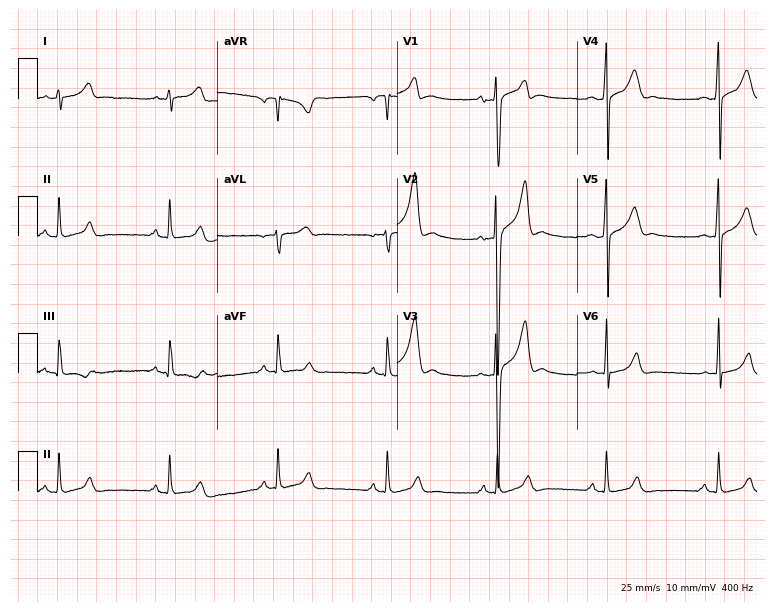
Electrocardiogram, a 22-year-old man. Overall reading on record: normal ECG.